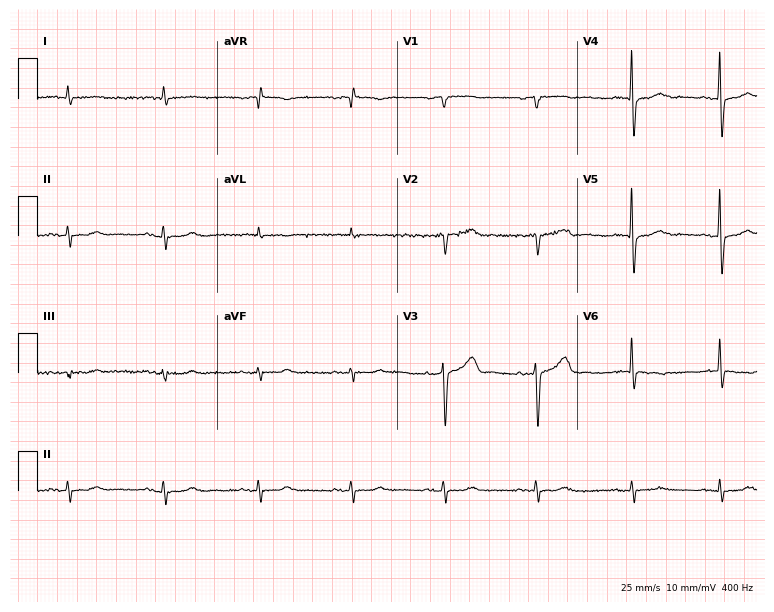
ECG — a man, 81 years old. Screened for six findings — first-degree AV block, right bundle branch block (RBBB), left bundle branch block (LBBB), sinus bradycardia, atrial fibrillation (AF), sinus tachycardia — none is recorded. Findings outside these six are not listed.